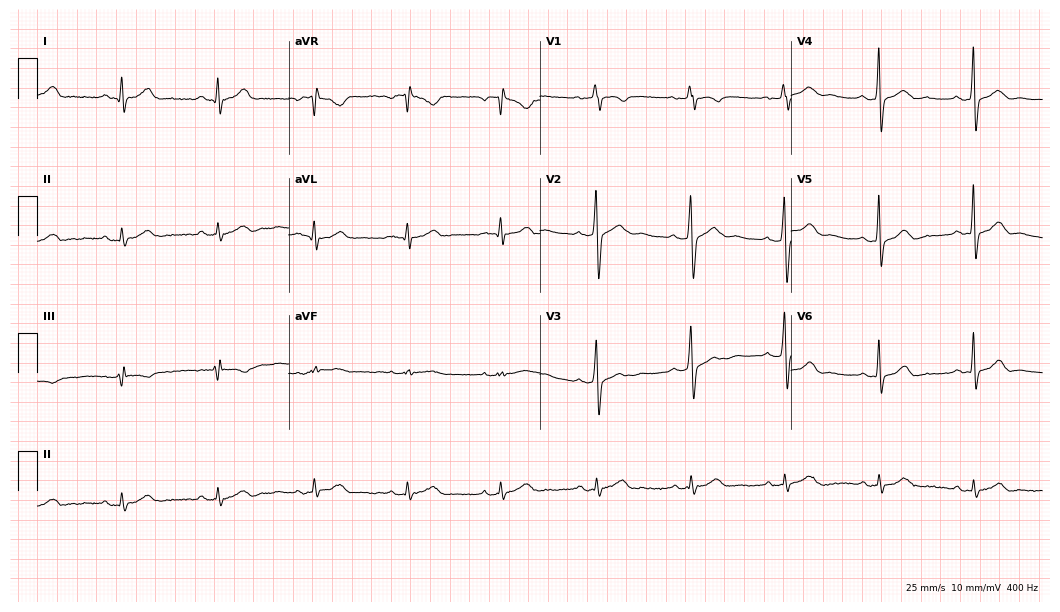
ECG (10.2-second recording at 400 Hz) — a 57-year-old male. Labelled as a normal ECG.